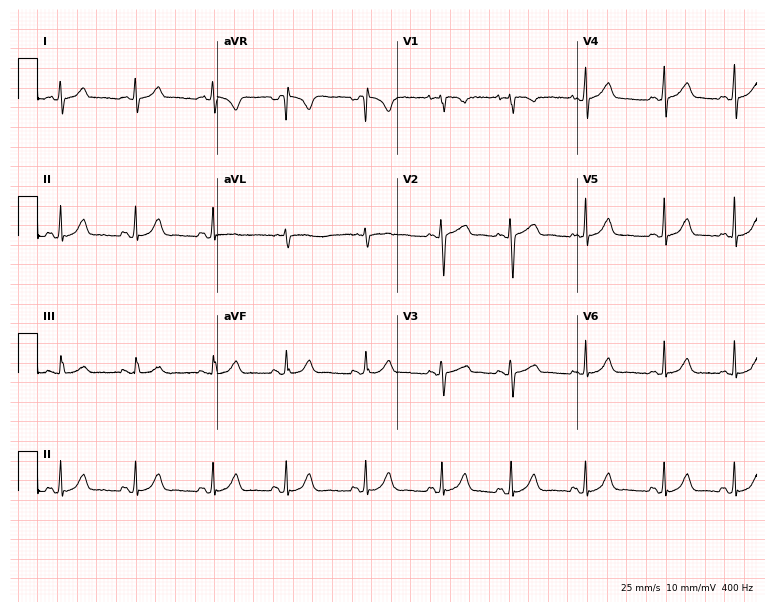
Standard 12-lead ECG recorded from a 17-year-old woman (7.3-second recording at 400 Hz). Read as a normal ECG.